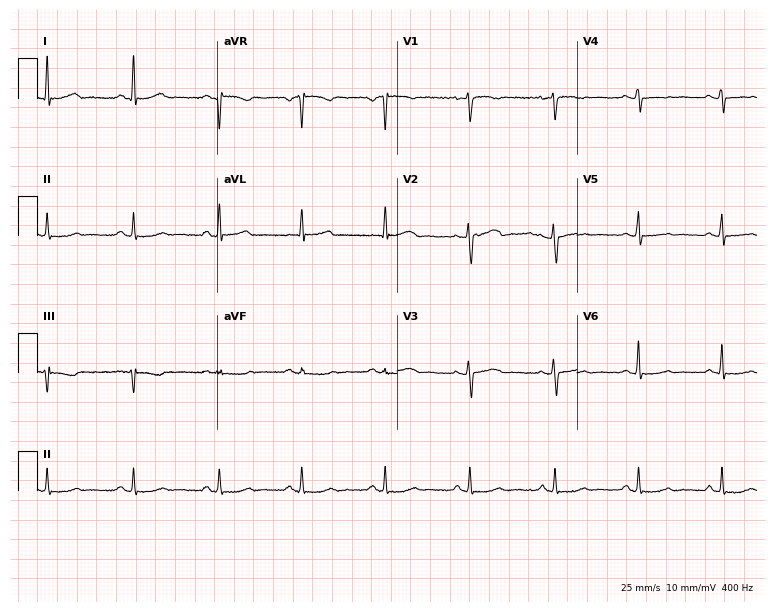
ECG (7.3-second recording at 400 Hz) — a 46-year-old woman. Labelled as a normal ECG.